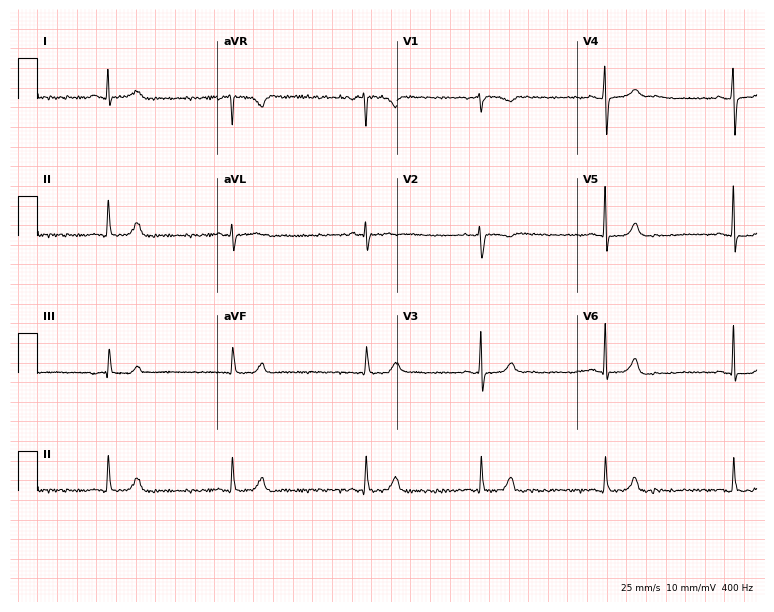
ECG (7.3-second recording at 400 Hz) — a female patient, 49 years old. Findings include sinus bradycardia (a sinus rate of 50 beats per minute or less).